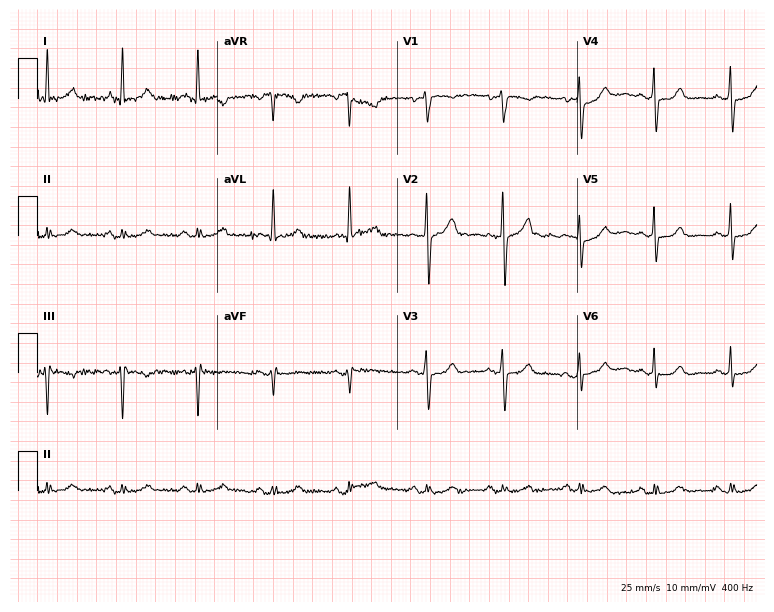
Resting 12-lead electrocardiogram (7.3-second recording at 400 Hz). Patient: a woman, 52 years old. Read as a normal ECG.